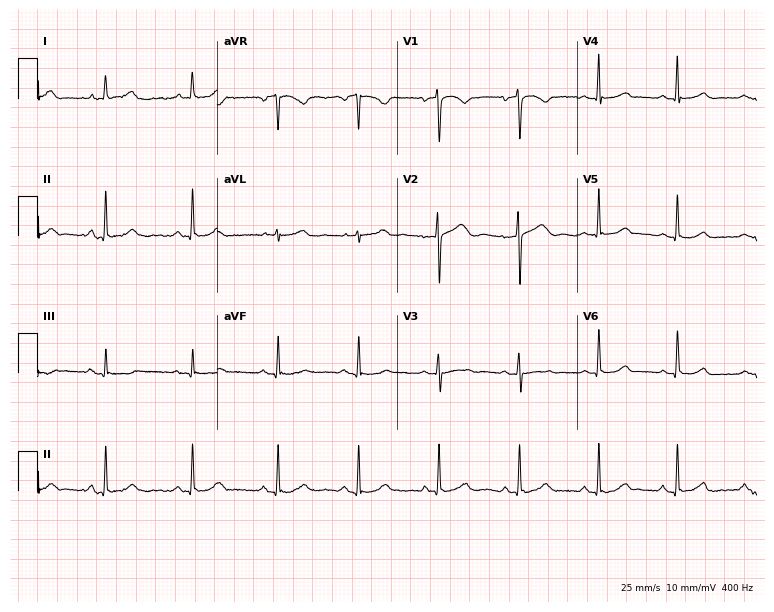
Resting 12-lead electrocardiogram. Patient: a 47-year-old female. Read as a normal ECG.